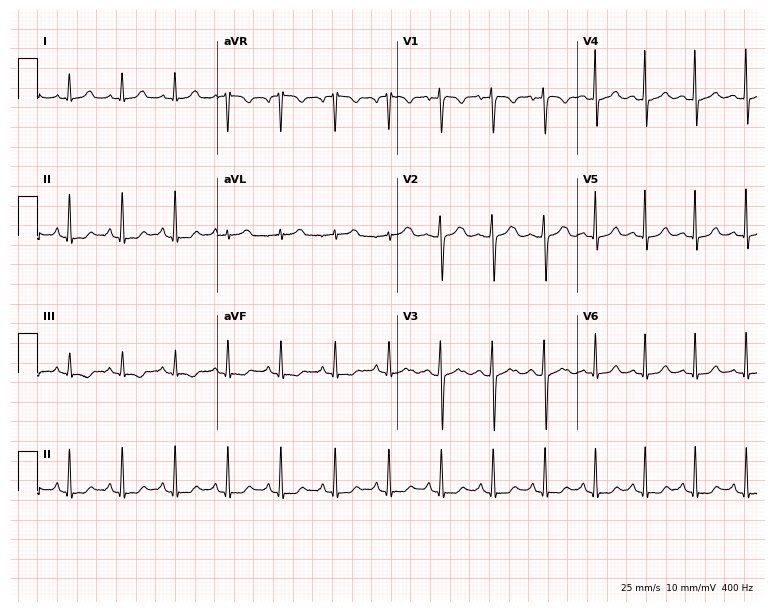
Electrocardiogram, a 21-year-old female patient. Interpretation includes sinus tachycardia (a sinus rate of 100 beats per minute or more).